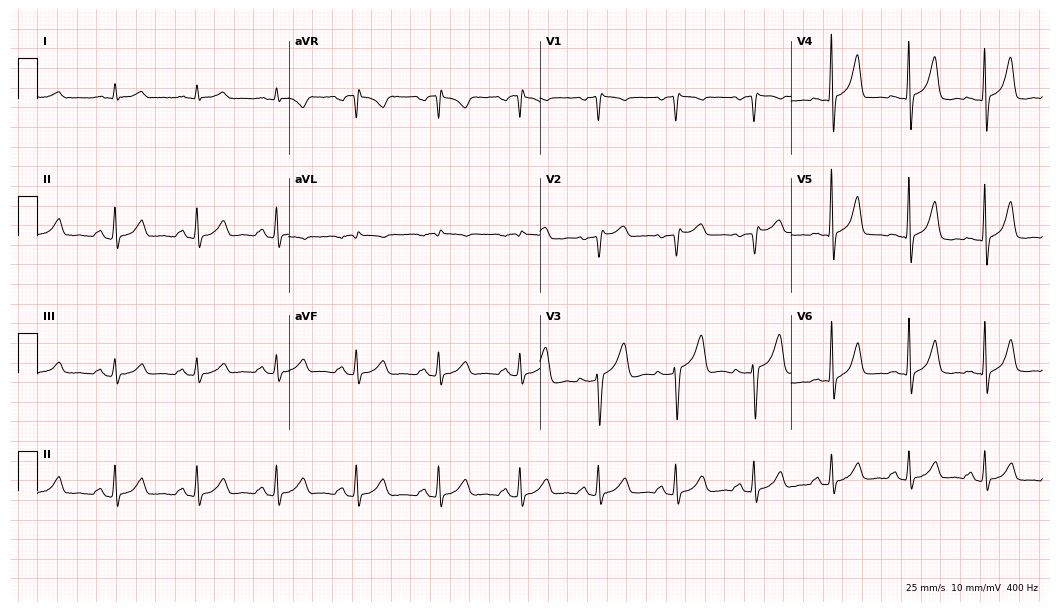
Electrocardiogram (10.2-second recording at 400 Hz), a 59-year-old man. Of the six screened findings (first-degree AV block, right bundle branch block, left bundle branch block, sinus bradycardia, atrial fibrillation, sinus tachycardia), none is recorded.